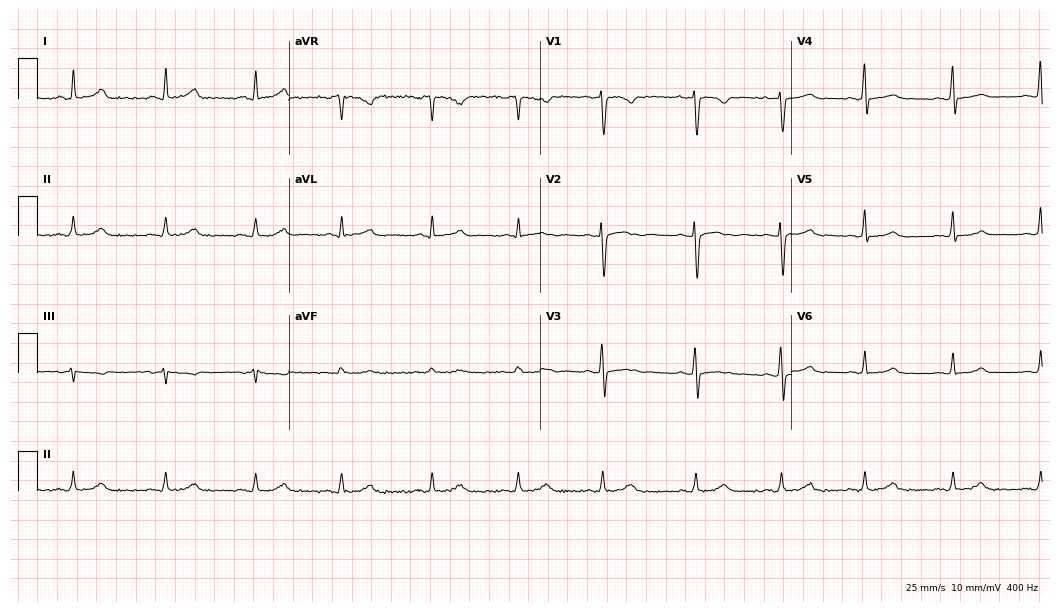
Resting 12-lead electrocardiogram (10.2-second recording at 400 Hz). Patient: a female, 22 years old. Read as a normal ECG.